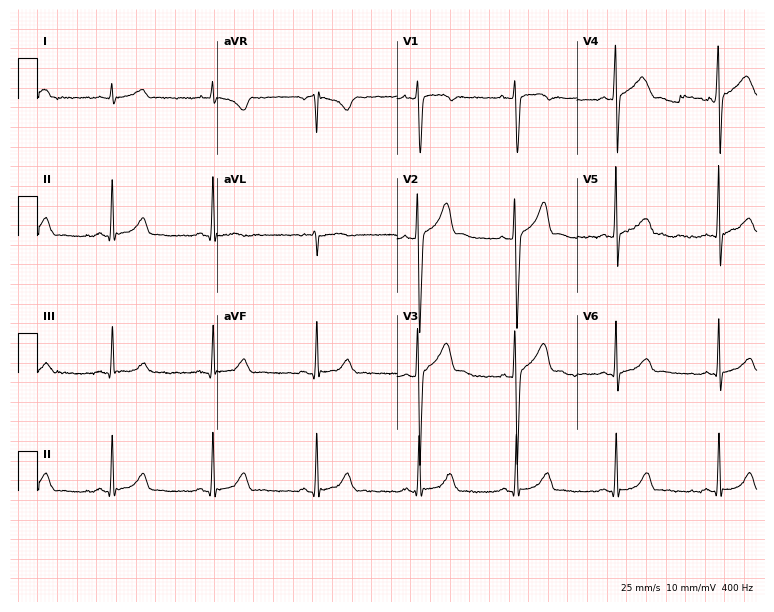
ECG — a male, 17 years old. Labelled as a normal ECG.